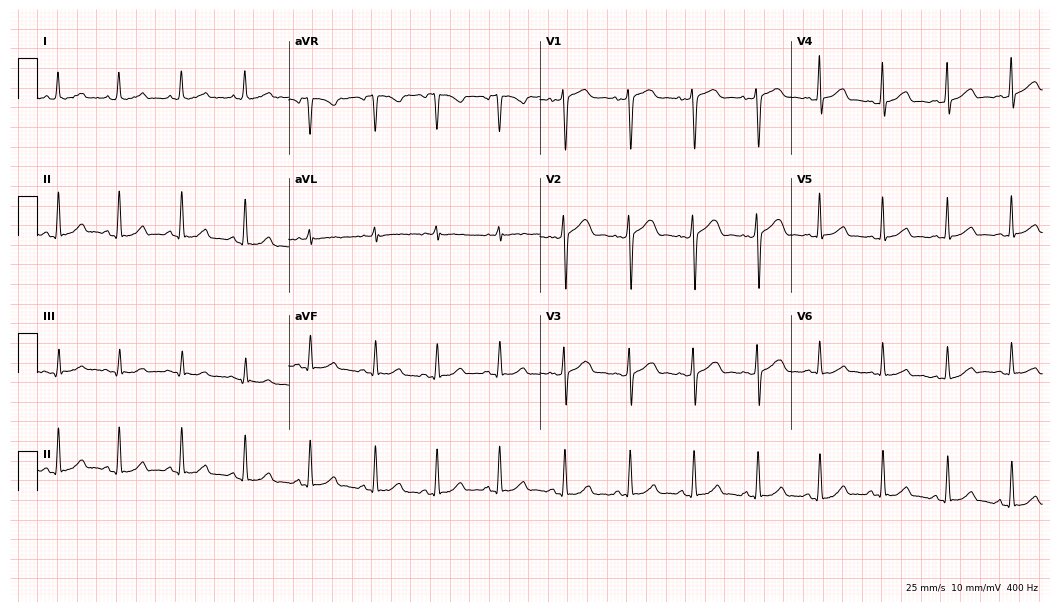
12-lead ECG from a 45-year-old woman (10.2-second recording at 400 Hz). Recorded interpretation: within normal limits.